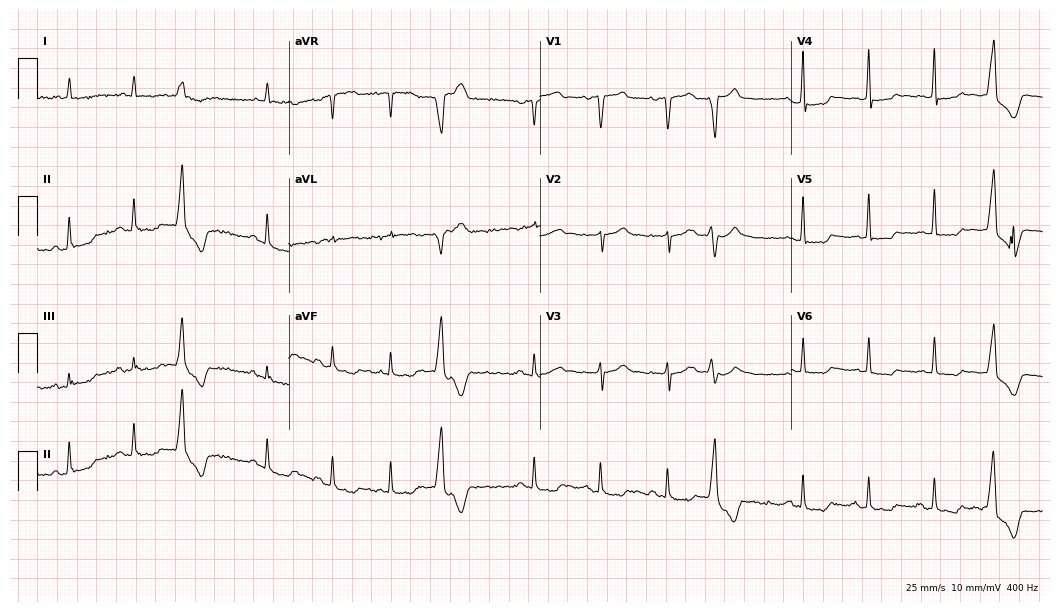
12-lead ECG from a male patient, 65 years old (10.2-second recording at 400 Hz). No first-degree AV block, right bundle branch block, left bundle branch block, sinus bradycardia, atrial fibrillation or sinus tachycardia recorded for this tracing. Only these six findings were labelled.